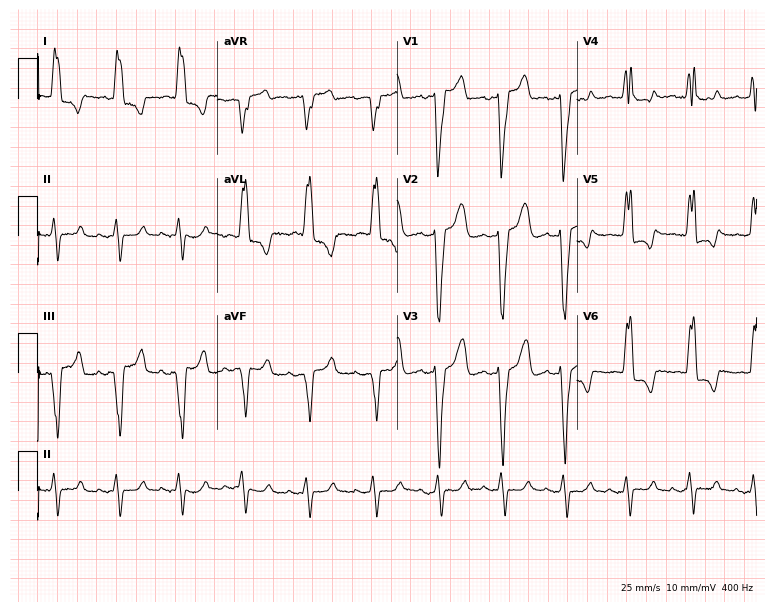
Standard 12-lead ECG recorded from a woman, 83 years old. The tracing shows left bundle branch block.